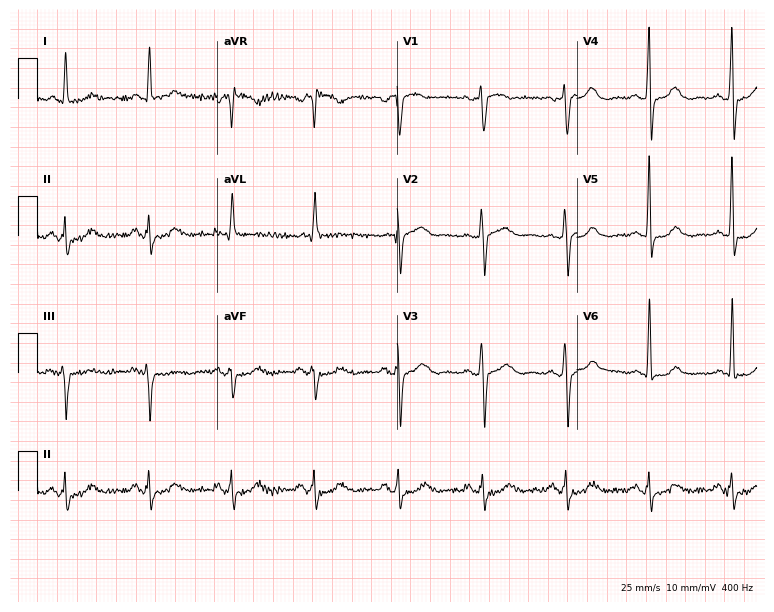
ECG — a woman, 68 years old. Screened for six findings — first-degree AV block, right bundle branch block (RBBB), left bundle branch block (LBBB), sinus bradycardia, atrial fibrillation (AF), sinus tachycardia — none is recorded. Only these six findings were labelled.